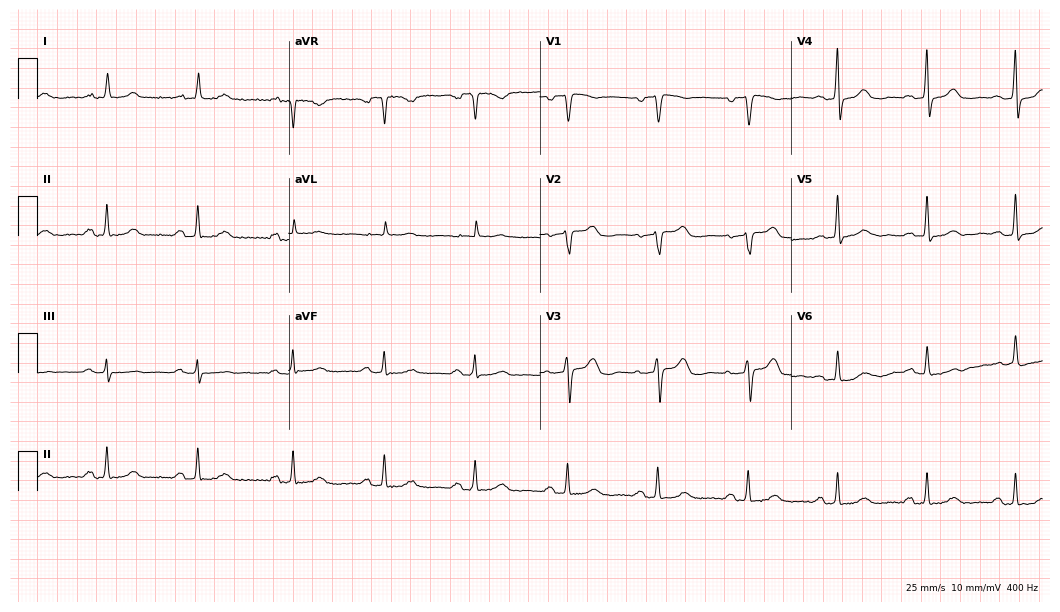
Standard 12-lead ECG recorded from a 75-year-old female patient (10.2-second recording at 400 Hz). Read as a normal ECG.